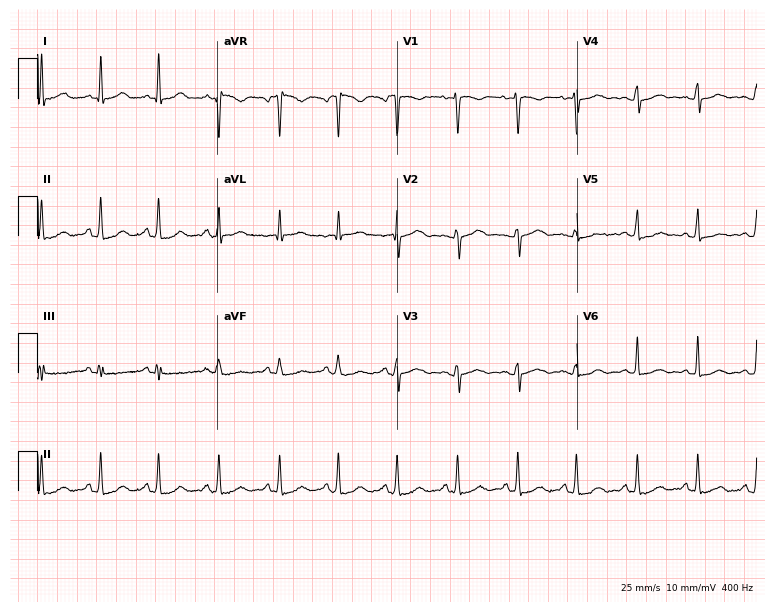
Resting 12-lead electrocardiogram (7.3-second recording at 400 Hz). Patient: a female, 23 years old. Read as a normal ECG.